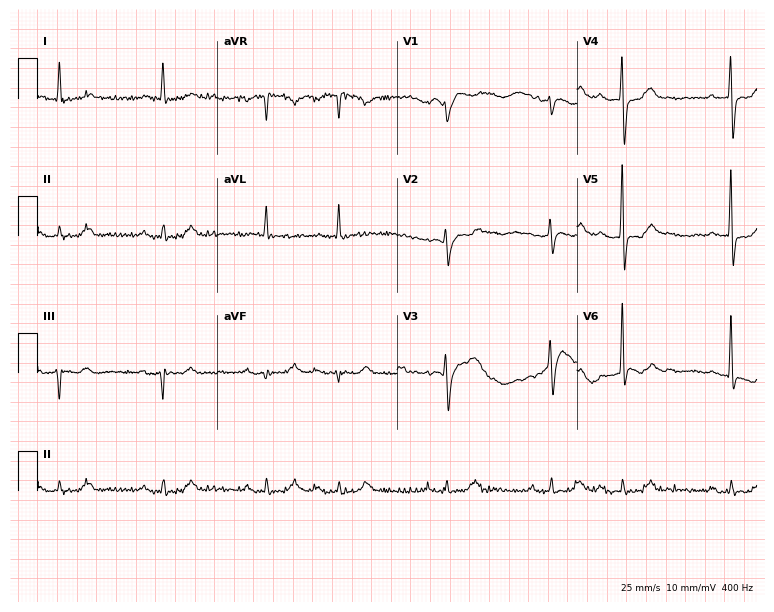
Resting 12-lead electrocardiogram. Patient: a man, 79 years old. None of these six findings is recorded: first-degree AV block, right bundle branch block, left bundle branch block, sinus bradycardia, atrial fibrillation, sinus tachycardia. Only these six findings were labelled.